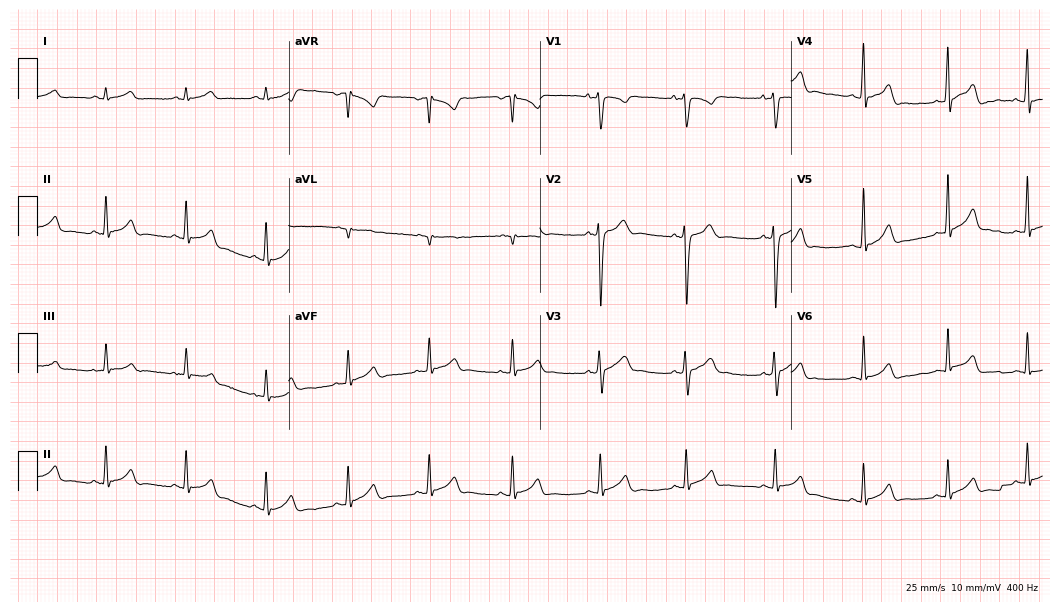
12-lead ECG from a 20-year-old male. Recorded interpretation: within normal limits.